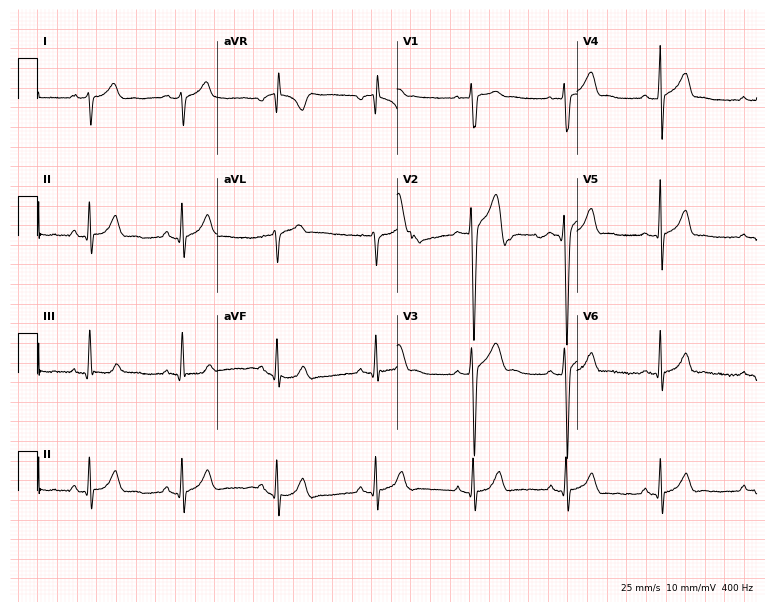
12-lead ECG (7.3-second recording at 400 Hz) from a woman, 20 years old. Screened for six findings — first-degree AV block, right bundle branch block, left bundle branch block, sinus bradycardia, atrial fibrillation, sinus tachycardia — none is recorded. Other findings, if any, are not listed.